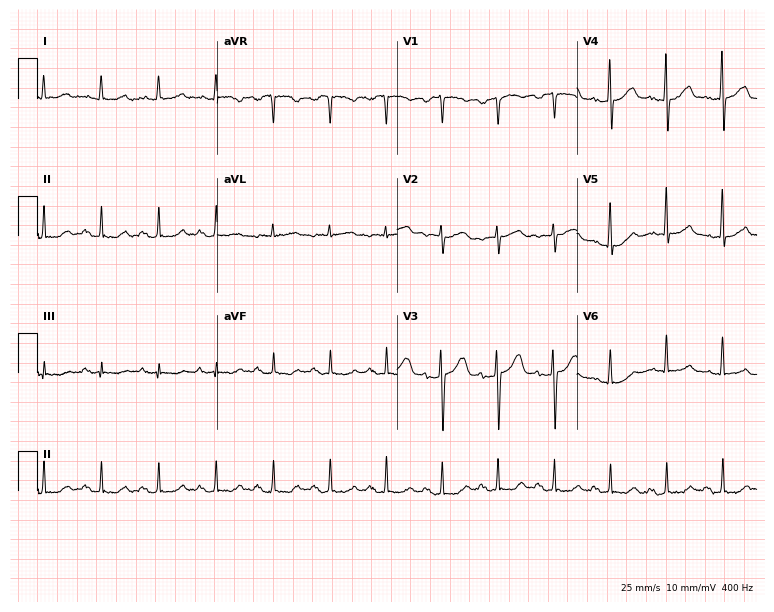
Resting 12-lead electrocardiogram. Patient: a male, 75 years old. The tracing shows sinus tachycardia (a sinus rate of 100 beats per minute or more).